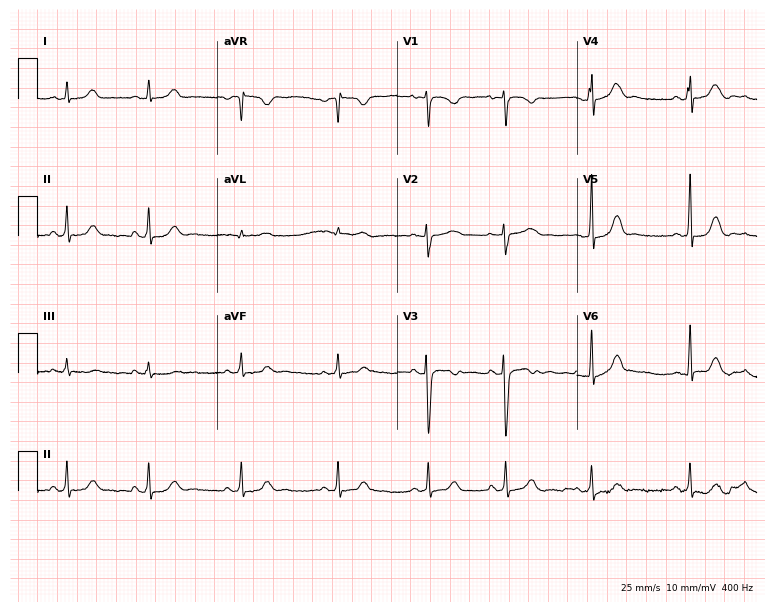
12-lead ECG (7.3-second recording at 400 Hz) from a female, 25 years old. Screened for six findings — first-degree AV block, right bundle branch block, left bundle branch block, sinus bradycardia, atrial fibrillation, sinus tachycardia — none is recorded.